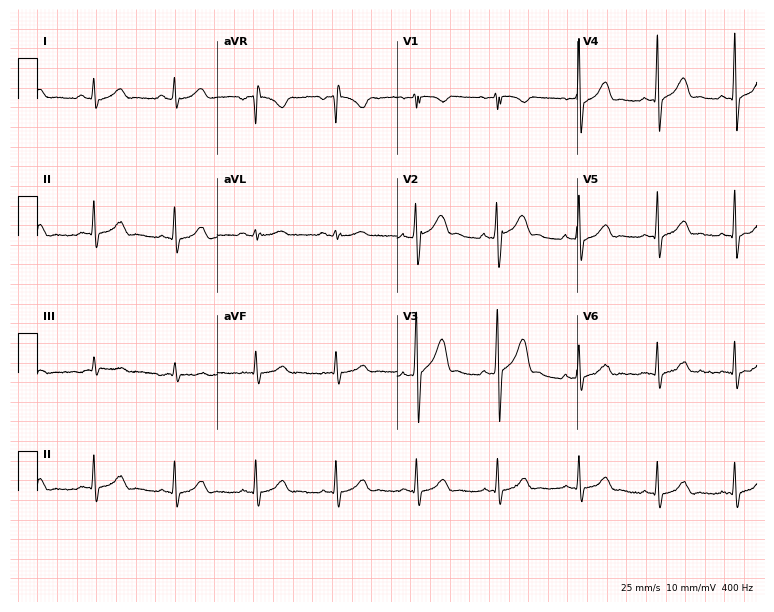
ECG (7.3-second recording at 400 Hz) — a male patient, 30 years old. Labelled as a normal ECG.